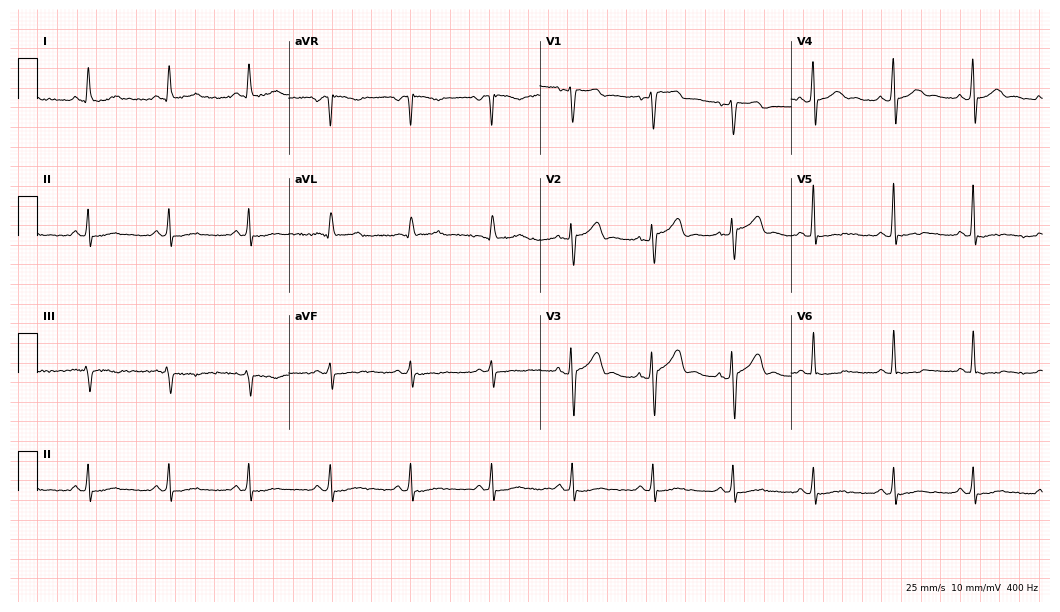
Resting 12-lead electrocardiogram. Patient: a 50-year-old male. Read as a normal ECG.